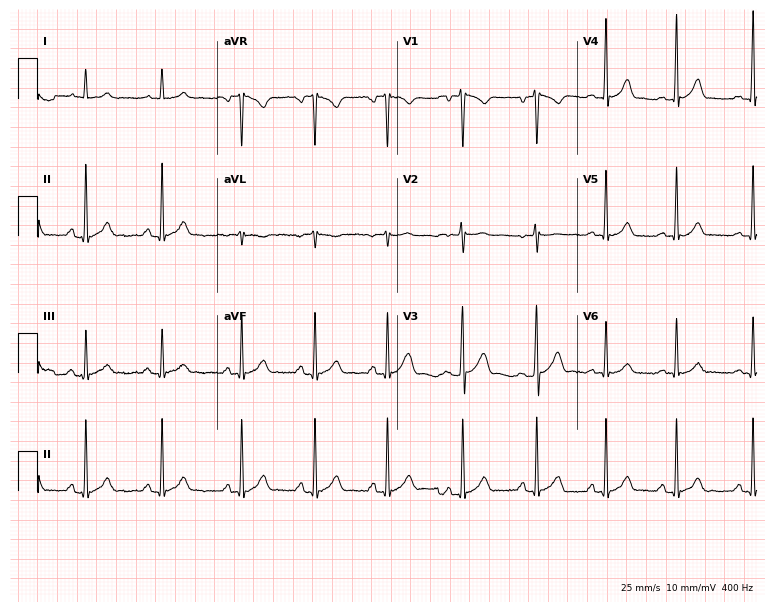
12-lead ECG from a 22-year-old man. No first-degree AV block, right bundle branch block, left bundle branch block, sinus bradycardia, atrial fibrillation or sinus tachycardia recorded for this tracing.